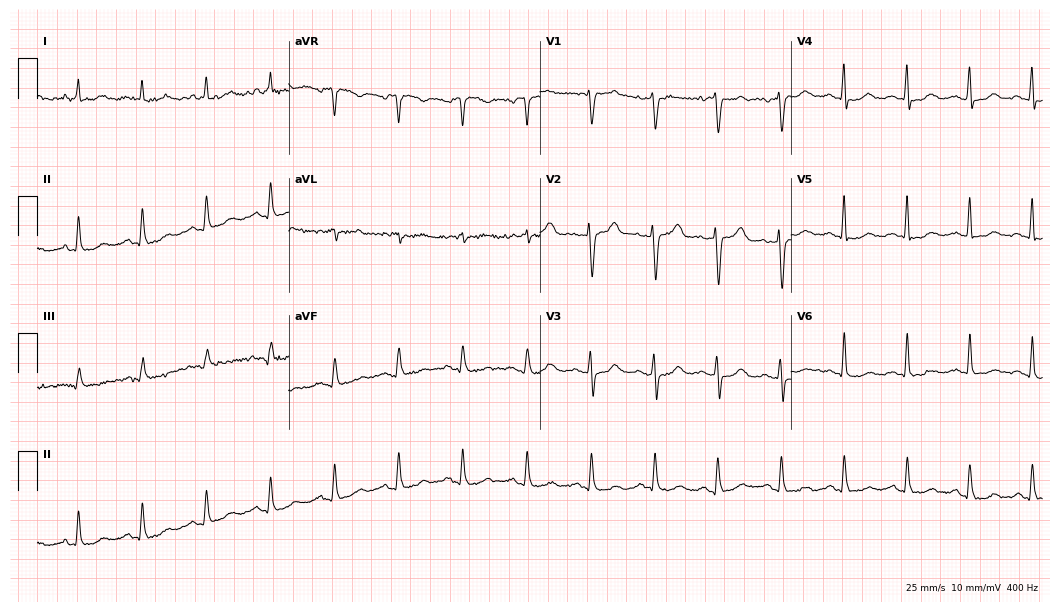
Electrocardiogram (10.2-second recording at 400 Hz), a female patient, 50 years old. Of the six screened findings (first-degree AV block, right bundle branch block (RBBB), left bundle branch block (LBBB), sinus bradycardia, atrial fibrillation (AF), sinus tachycardia), none is recorded. Only these six findings were labelled.